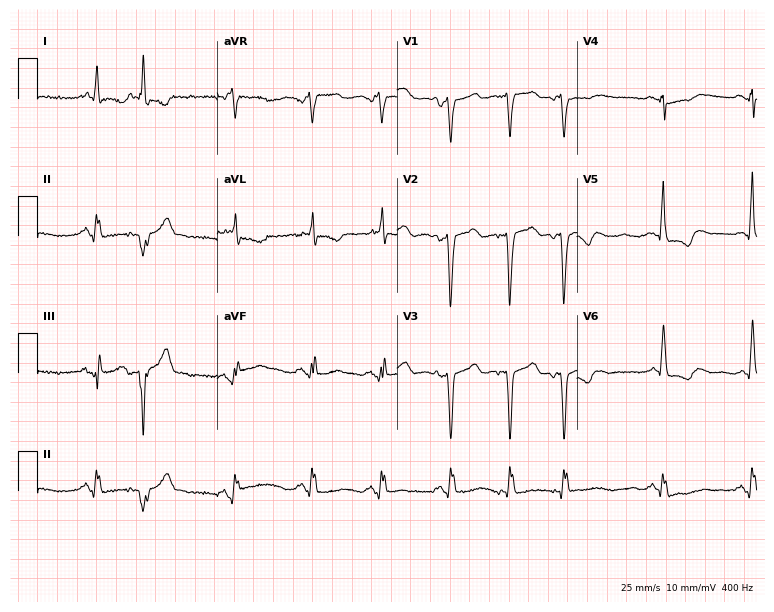
Standard 12-lead ECG recorded from a man, 66 years old. None of these six findings is recorded: first-degree AV block, right bundle branch block (RBBB), left bundle branch block (LBBB), sinus bradycardia, atrial fibrillation (AF), sinus tachycardia.